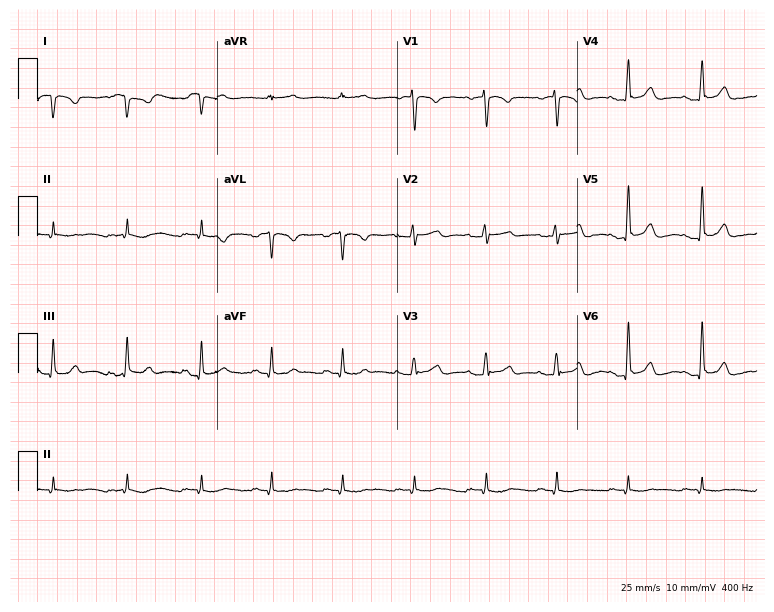
12-lead ECG from a 24-year-old female patient (7.3-second recording at 400 Hz). No first-degree AV block, right bundle branch block, left bundle branch block, sinus bradycardia, atrial fibrillation or sinus tachycardia recorded for this tracing.